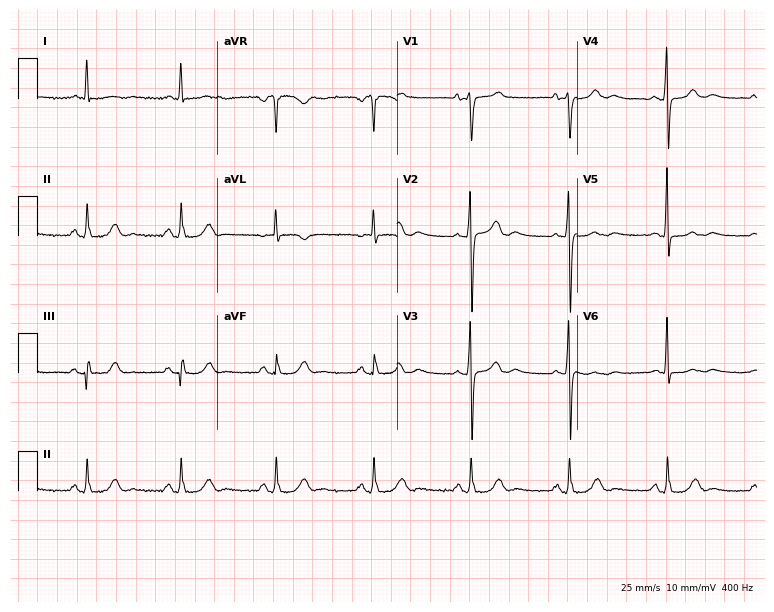
12-lead ECG (7.3-second recording at 400 Hz) from a 75-year-old woman. Labelled as a normal ECG.